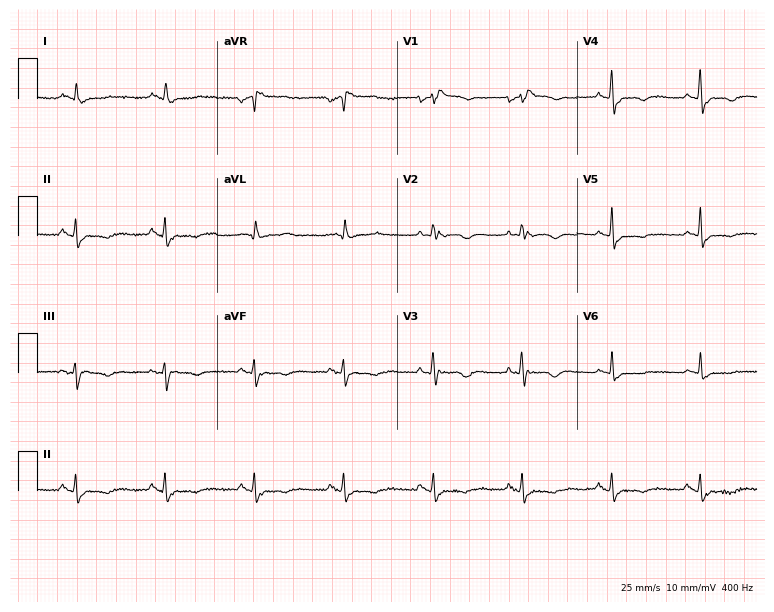
Electrocardiogram, a 67-year-old woman. Interpretation includes right bundle branch block.